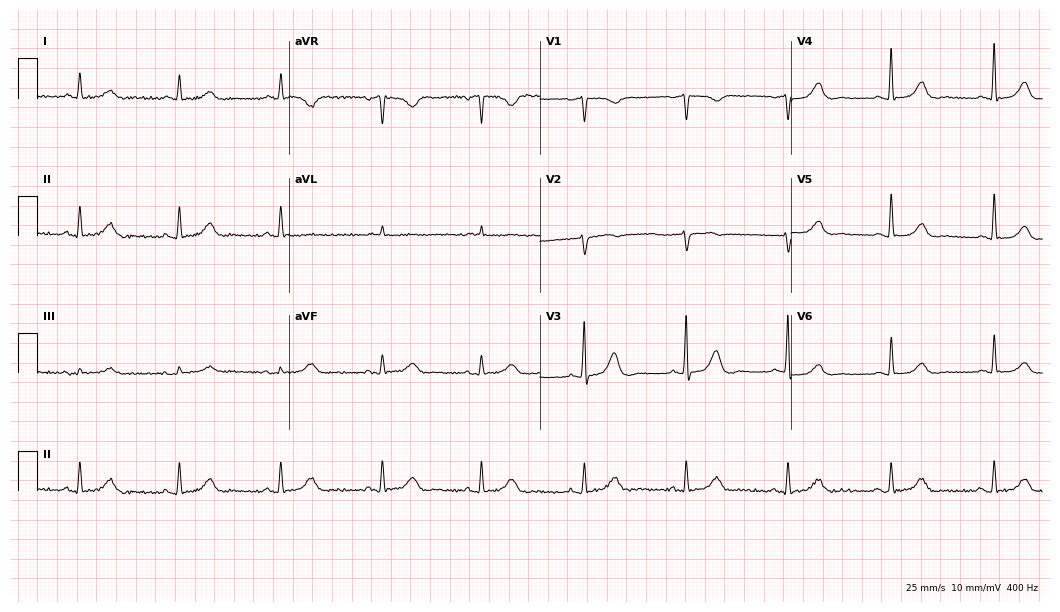
Resting 12-lead electrocardiogram (10.2-second recording at 400 Hz). Patient: a female, 85 years old. None of these six findings is recorded: first-degree AV block, right bundle branch block, left bundle branch block, sinus bradycardia, atrial fibrillation, sinus tachycardia. Other findings, if any, are not listed.